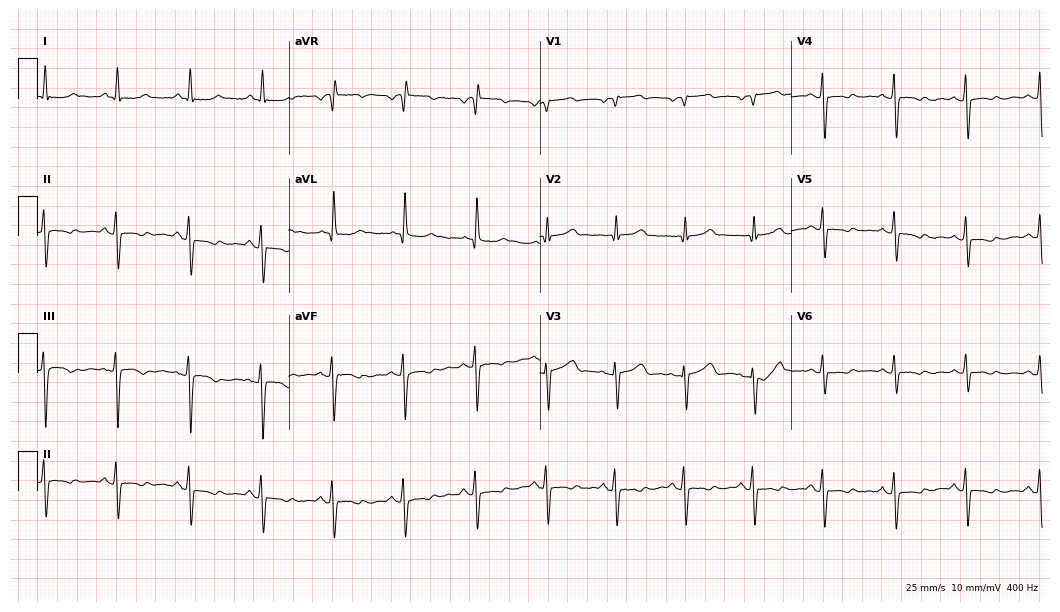
12-lead ECG from a 73-year-old woman (10.2-second recording at 400 Hz). No first-degree AV block, right bundle branch block, left bundle branch block, sinus bradycardia, atrial fibrillation or sinus tachycardia recorded for this tracing. Findings outside these six are not listed.